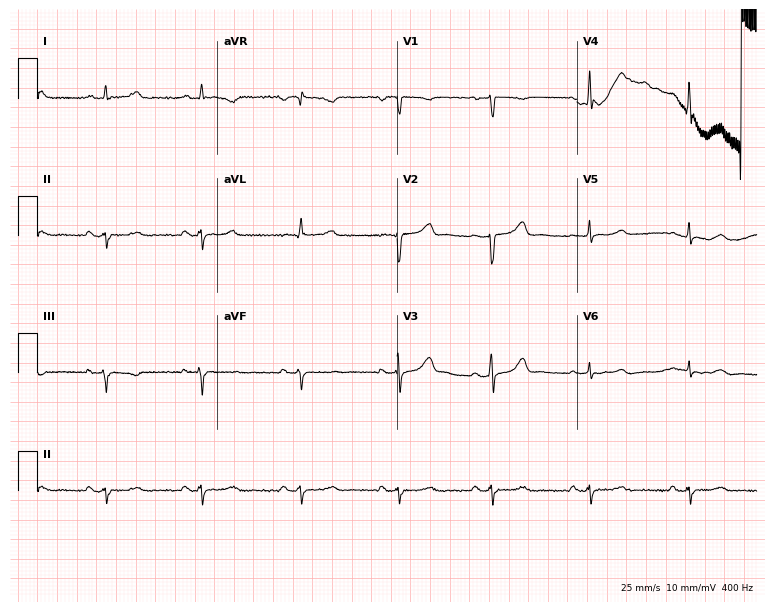
Electrocardiogram (7.3-second recording at 400 Hz), a female patient, 49 years old. Of the six screened findings (first-degree AV block, right bundle branch block (RBBB), left bundle branch block (LBBB), sinus bradycardia, atrial fibrillation (AF), sinus tachycardia), none is recorded.